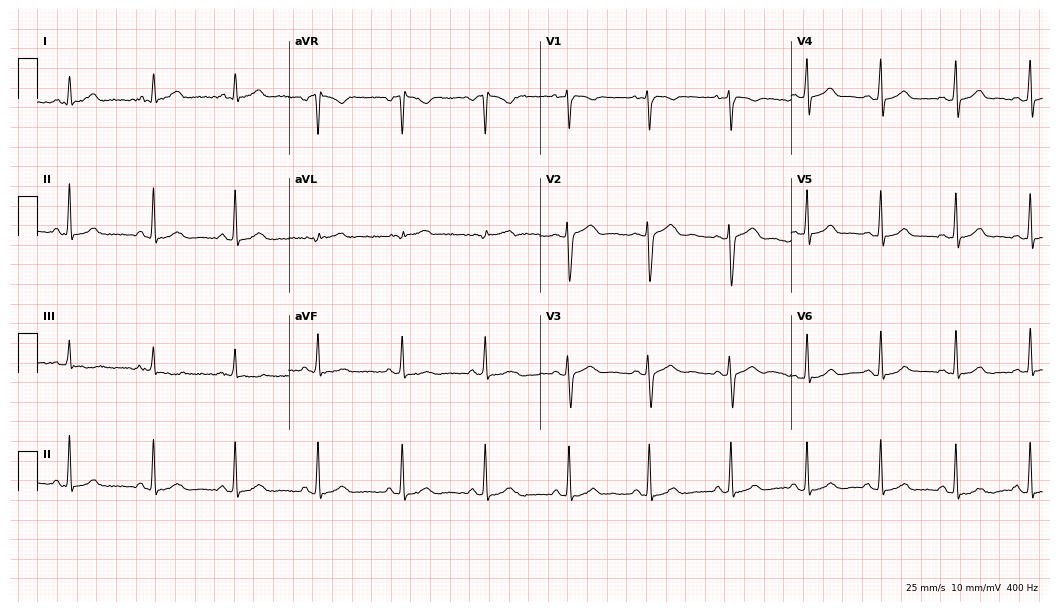
ECG (10.2-second recording at 400 Hz) — a female, 20 years old. Labelled as a normal ECG.